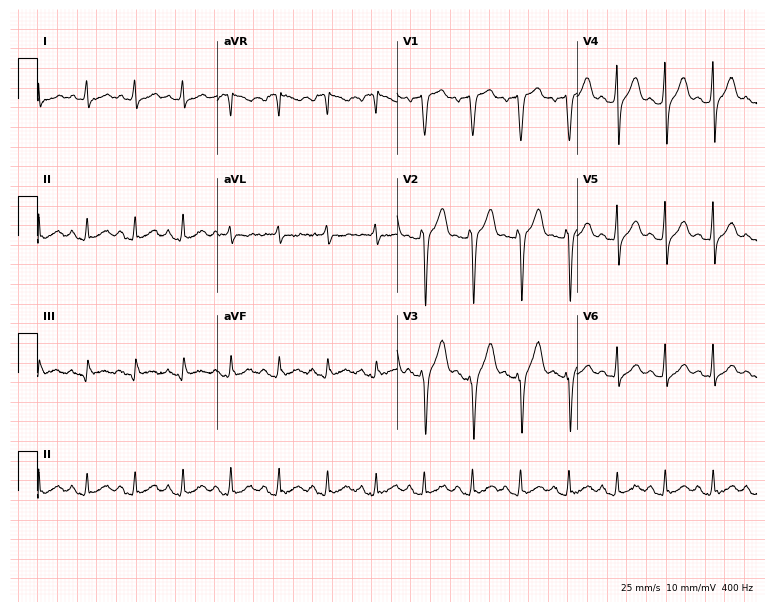
Standard 12-lead ECG recorded from a 55-year-old male patient. None of these six findings is recorded: first-degree AV block, right bundle branch block (RBBB), left bundle branch block (LBBB), sinus bradycardia, atrial fibrillation (AF), sinus tachycardia.